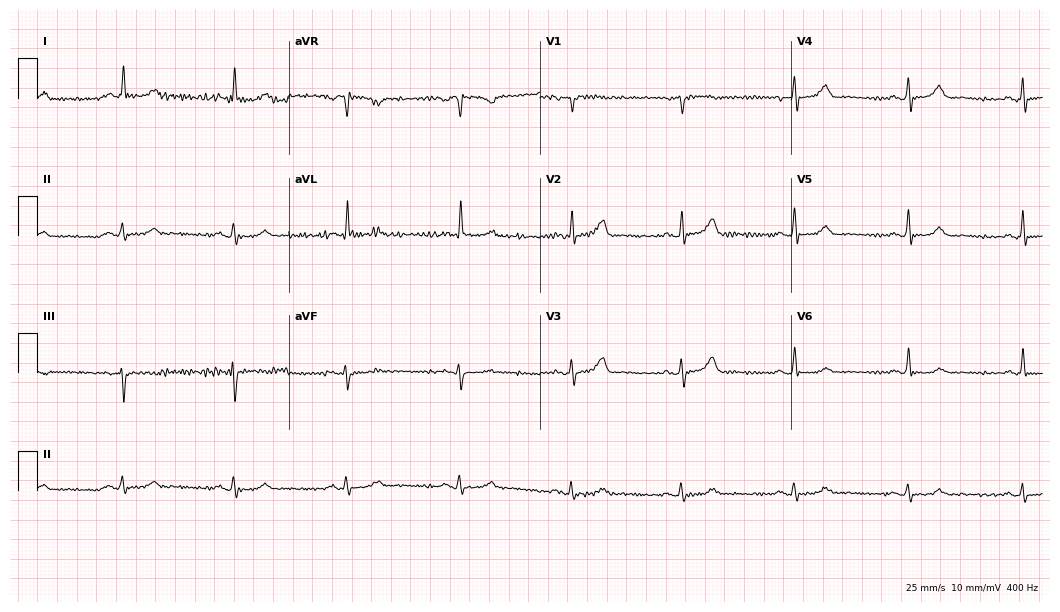
Resting 12-lead electrocardiogram (10.2-second recording at 400 Hz). Patient: a 74-year-old woman. Read as a normal ECG.